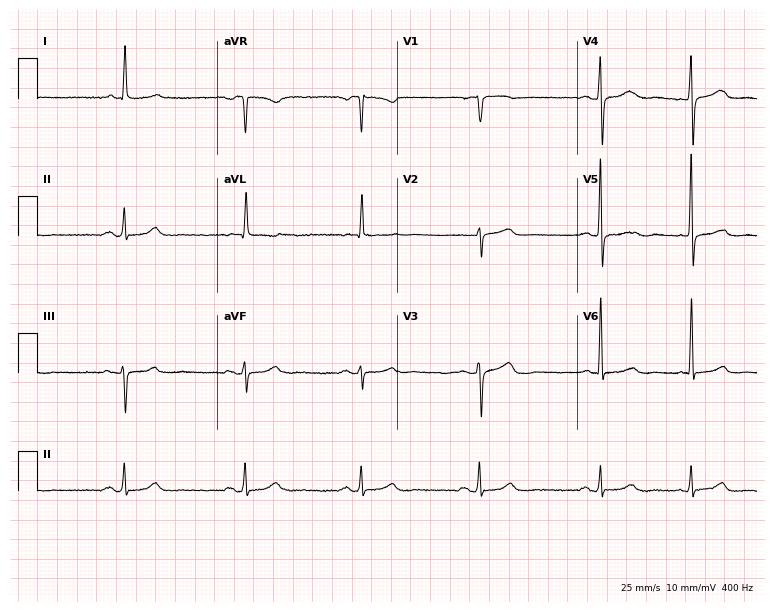
ECG — a 71-year-old female patient. Screened for six findings — first-degree AV block, right bundle branch block (RBBB), left bundle branch block (LBBB), sinus bradycardia, atrial fibrillation (AF), sinus tachycardia — none is recorded. Other findings, if any, are not listed.